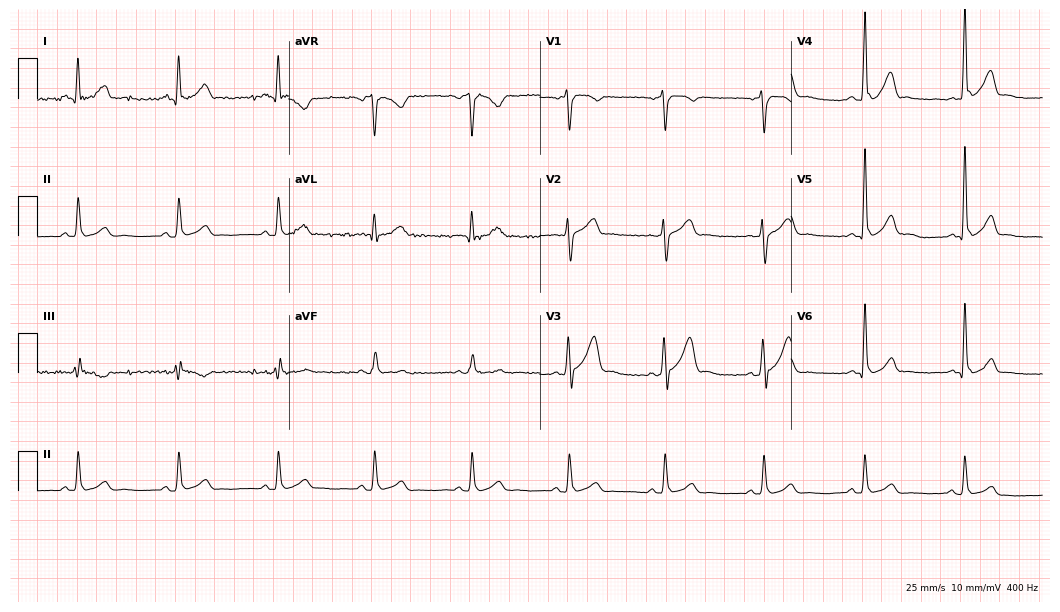
Resting 12-lead electrocardiogram. Patient: a man, 32 years old. None of these six findings is recorded: first-degree AV block, right bundle branch block, left bundle branch block, sinus bradycardia, atrial fibrillation, sinus tachycardia. Other findings, if any, are not listed.